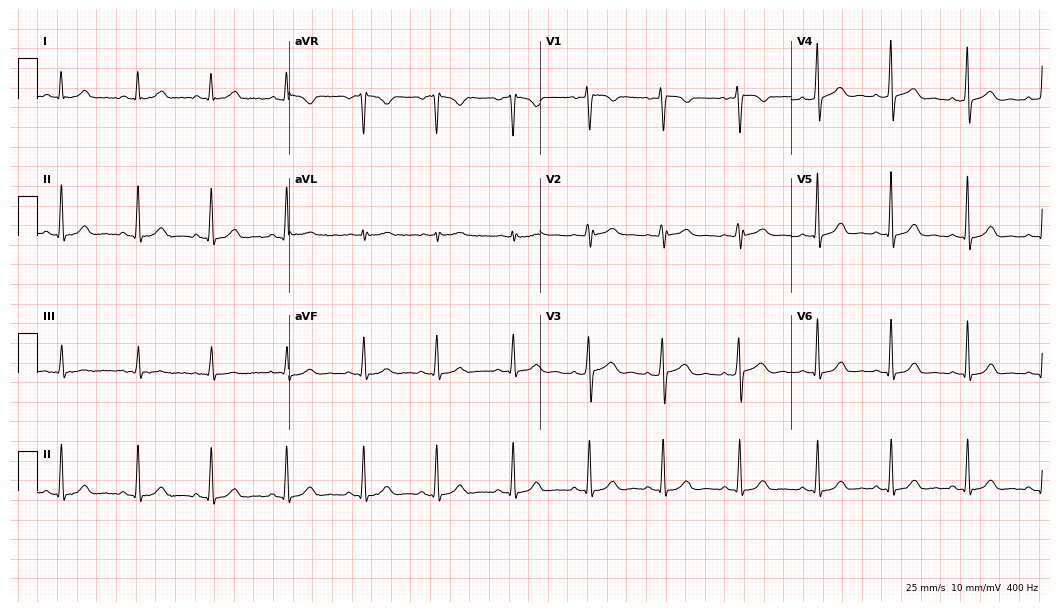
Standard 12-lead ECG recorded from a 33-year-old woman. Read as a normal ECG.